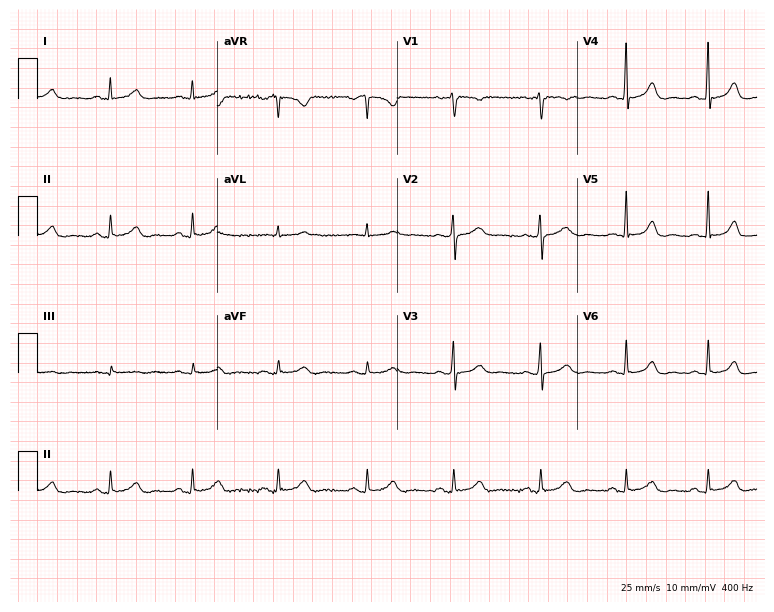
12-lead ECG from a female, 35 years old (7.3-second recording at 400 Hz). Recorded interpretation: within normal limits.